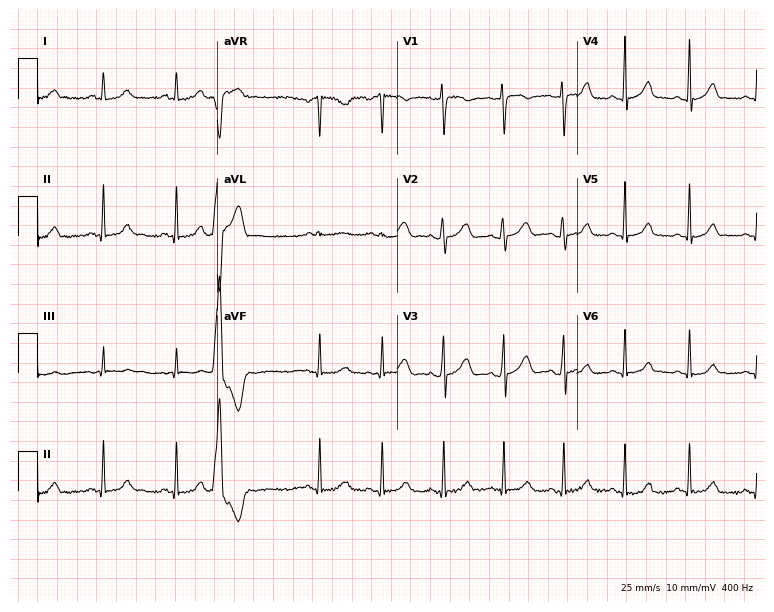
ECG (7.3-second recording at 400 Hz) — a 39-year-old woman. Labelled as a normal ECG.